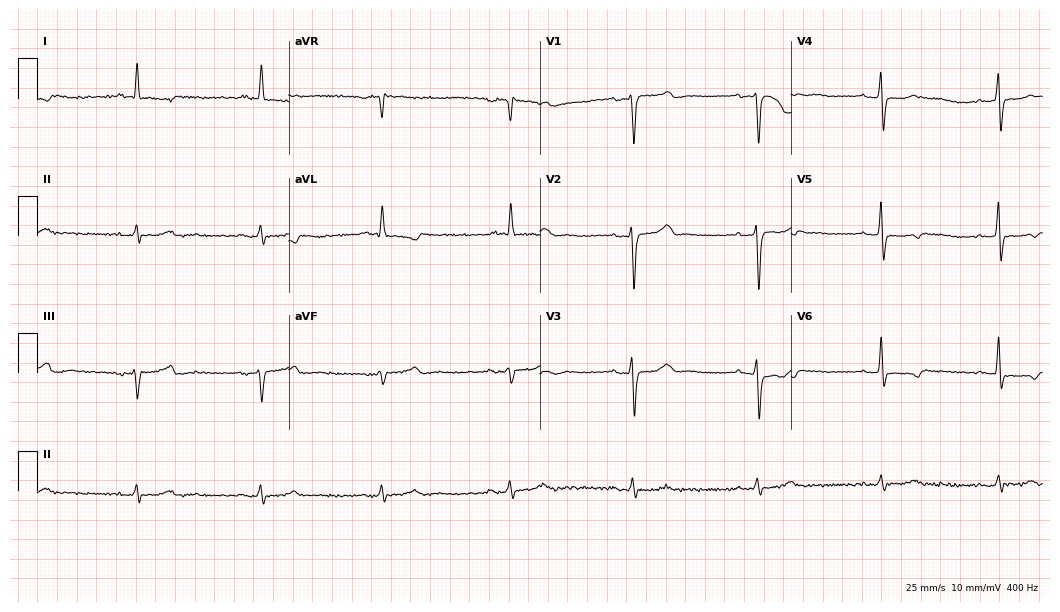
Electrocardiogram, a woman, 67 years old. Interpretation includes sinus bradycardia (a sinus rate of 50 beats per minute or less).